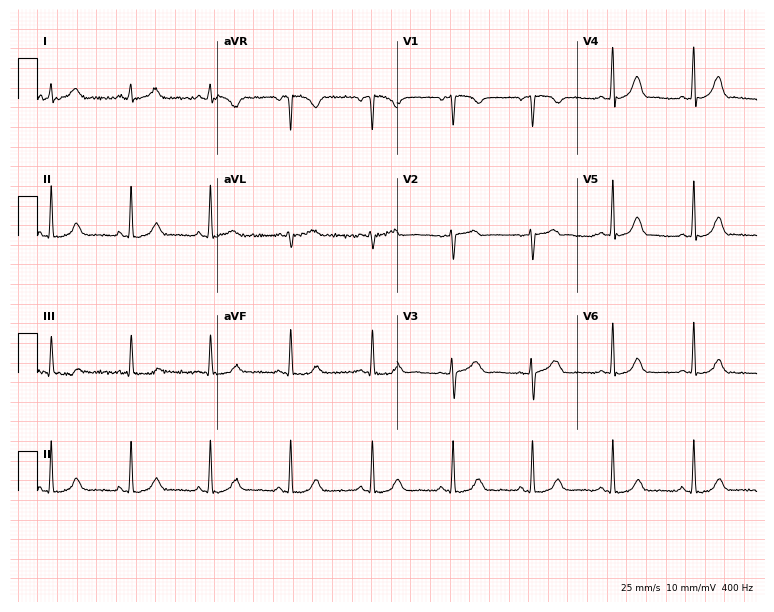
Resting 12-lead electrocardiogram. Patient: a 46-year-old woman. Read as a normal ECG.